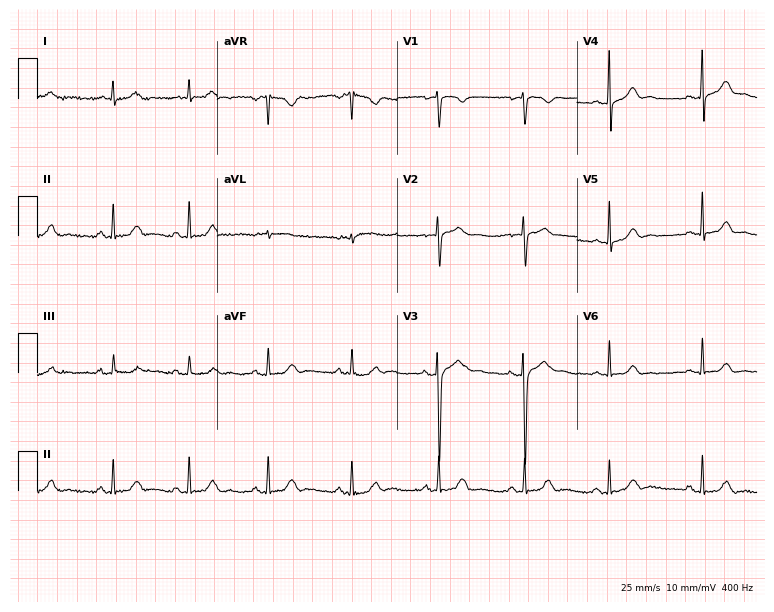
ECG — a 20-year-old woman. Labelled as a normal ECG.